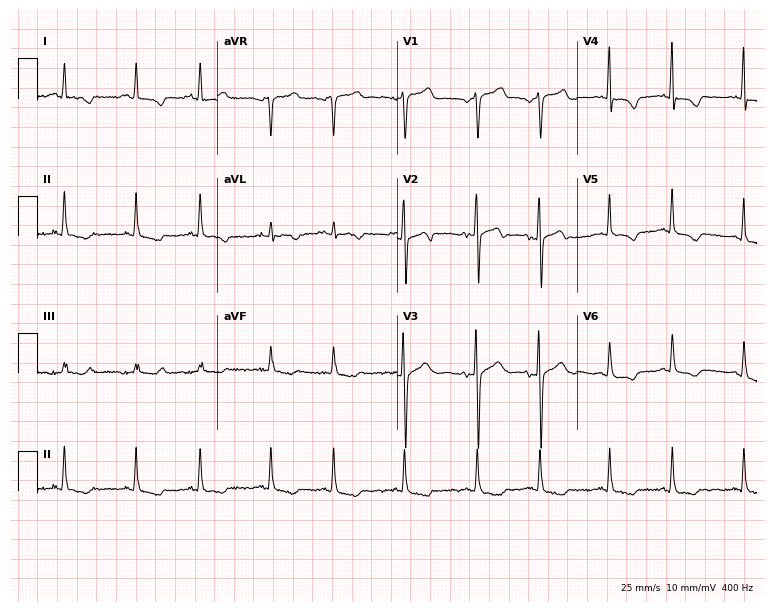
ECG (7.3-second recording at 400 Hz) — a woman, 63 years old. Screened for six findings — first-degree AV block, right bundle branch block (RBBB), left bundle branch block (LBBB), sinus bradycardia, atrial fibrillation (AF), sinus tachycardia — none is recorded. Only these six findings were labelled.